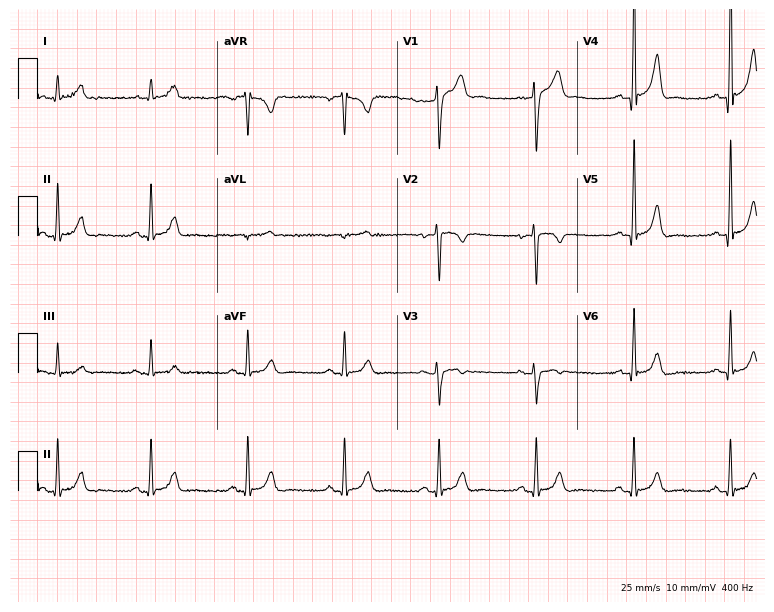
ECG (7.3-second recording at 400 Hz) — a 33-year-old man. Labelled as a normal ECG.